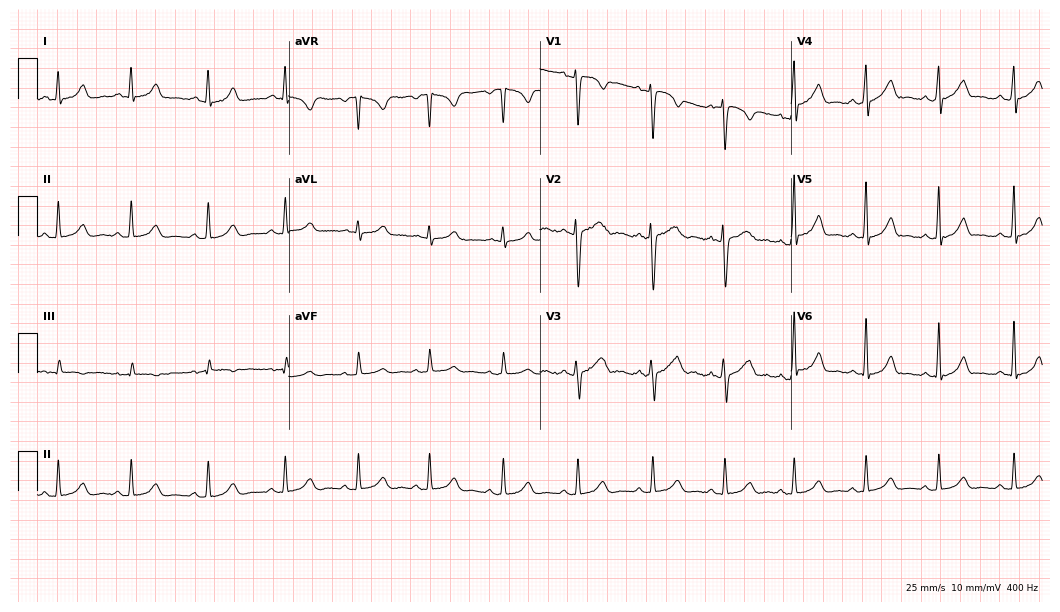
Resting 12-lead electrocardiogram (10.2-second recording at 400 Hz). Patient: a 24-year-old female. Read as a normal ECG.